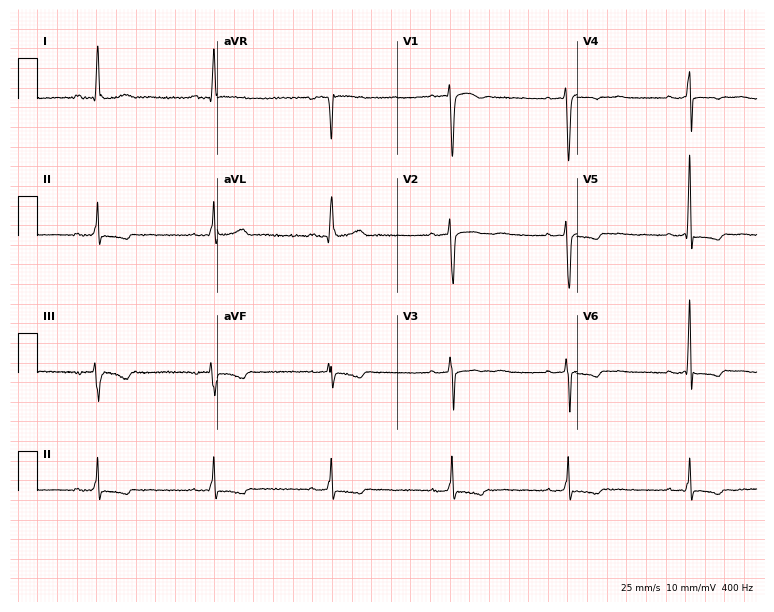
Standard 12-lead ECG recorded from a 50-year-old female. None of these six findings is recorded: first-degree AV block, right bundle branch block, left bundle branch block, sinus bradycardia, atrial fibrillation, sinus tachycardia.